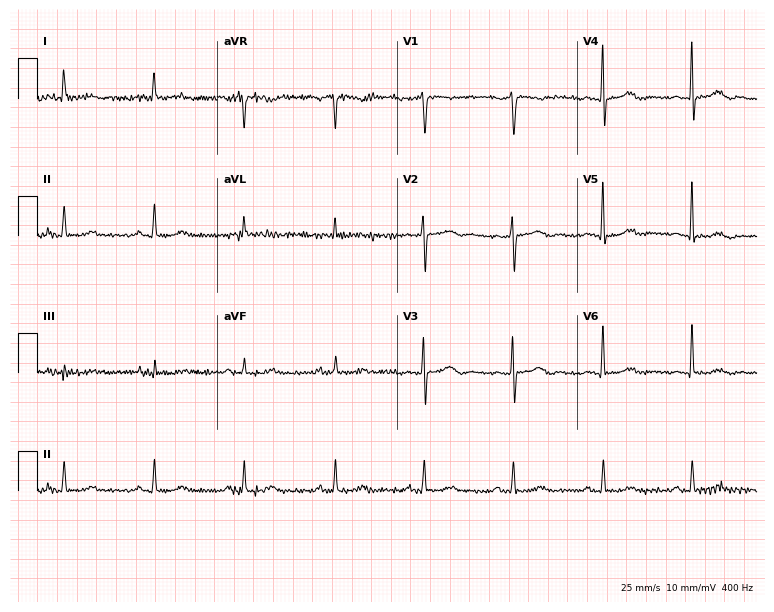
ECG (7.3-second recording at 400 Hz) — a 79-year-old female. Screened for six findings — first-degree AV block, right bundle branch block, left bundle branch block, sinus bradycardia, atrial fibrillation, sinus tachycardia — none is recorded. Only these six findings were labelled.